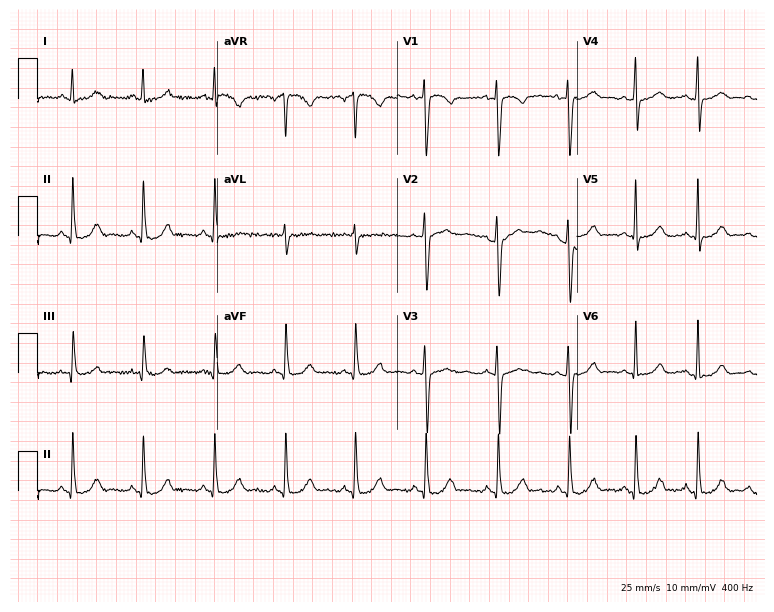
12-lead ECG (7.3-second recording at 400 Hz) from a 33-year-old female patient. Labelled as a normal ECG.